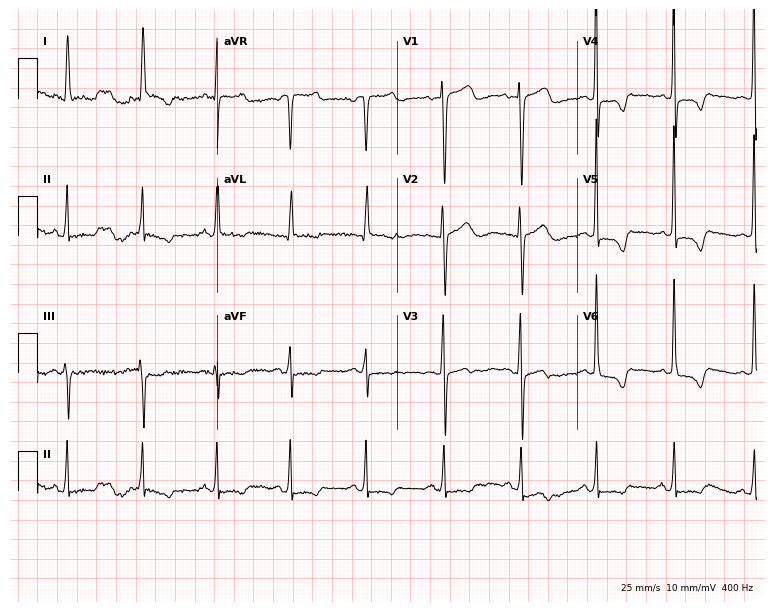
Standard 12-lead ECG recorded from a 57-year-old female. None of these six findings is recorded: first-degree AV block, right bundle branch block (RBBB), left bundle branch block (LBBB), sinus bradycardia, atrial fibrillation (AF), sinus tachycardia.